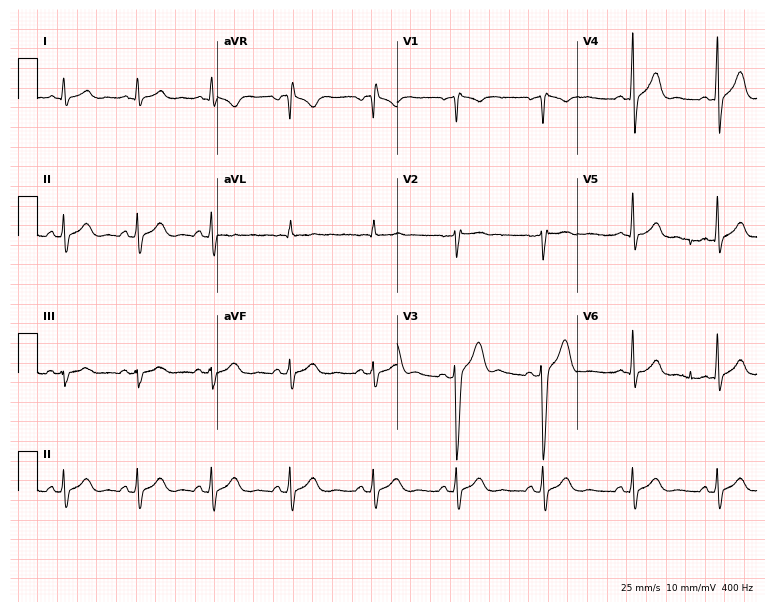
Electrocardiogram (7.3-second recording at 400 Hz), a 26-year-old man. Overall reading on record: normal ECG.